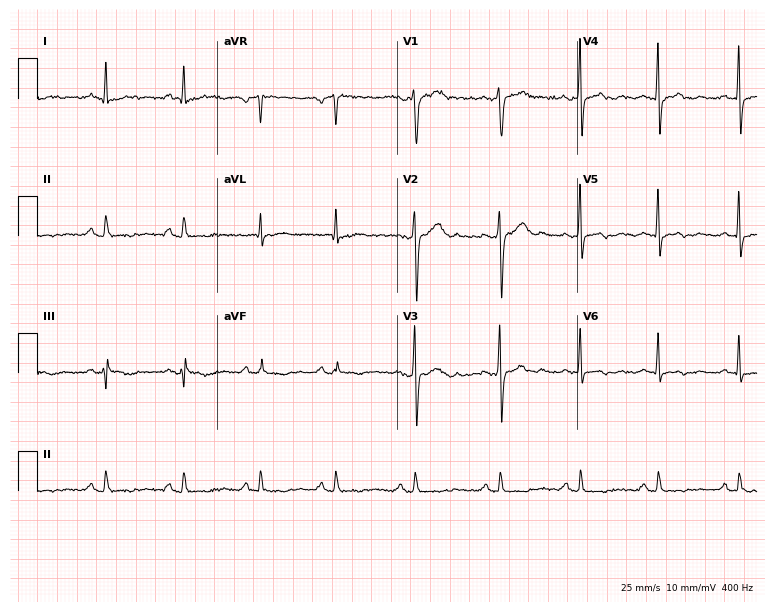
12-lead ECG (7.3-second recording at 400 Hz) from a man, 44 years old. Labelled as a normal ECG.